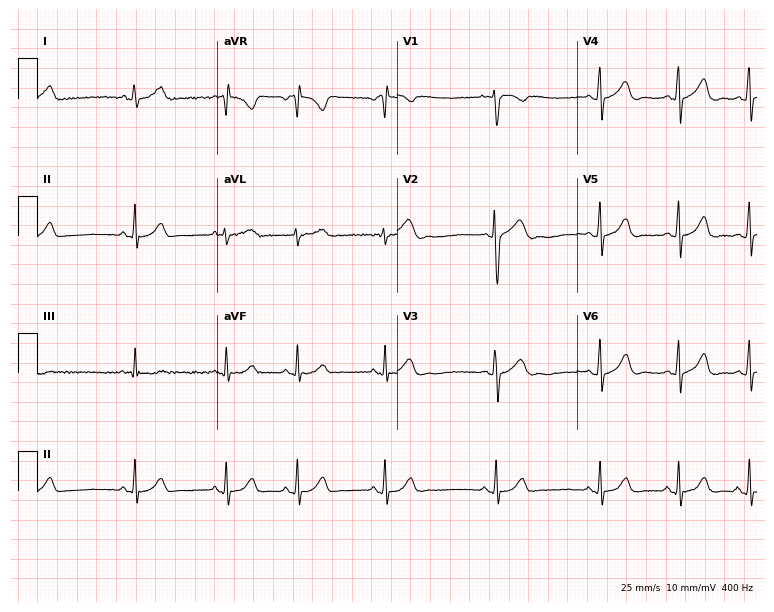
12-lead ECG from a 23-year-old female patient. Screened for six findings — first-degree AV block, right bundle branch block (RBBB), left bundle branch block (LBBB), sinus bradycardia, atrial fibrillation (AF), sinus tachycardia — none is recorded. Findings outside these six are not listed.